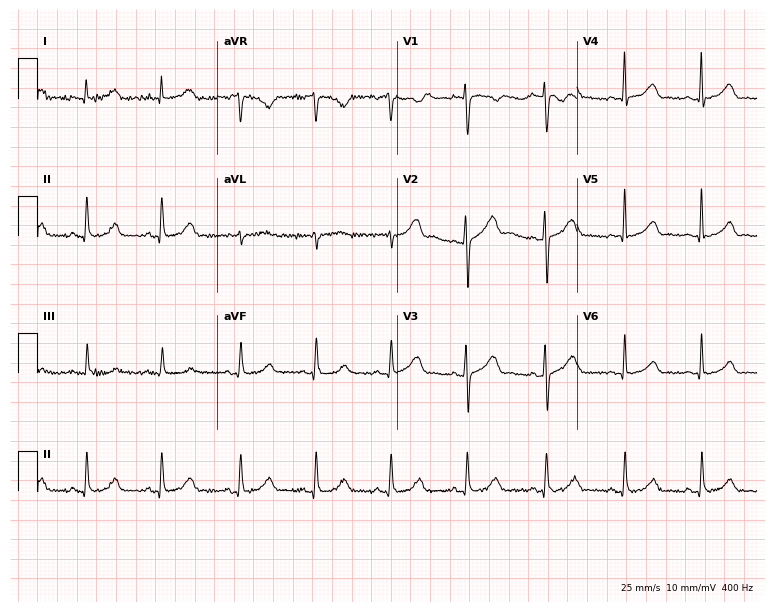
ECG — a 48-year-old female. Labelled as a normal ECG.